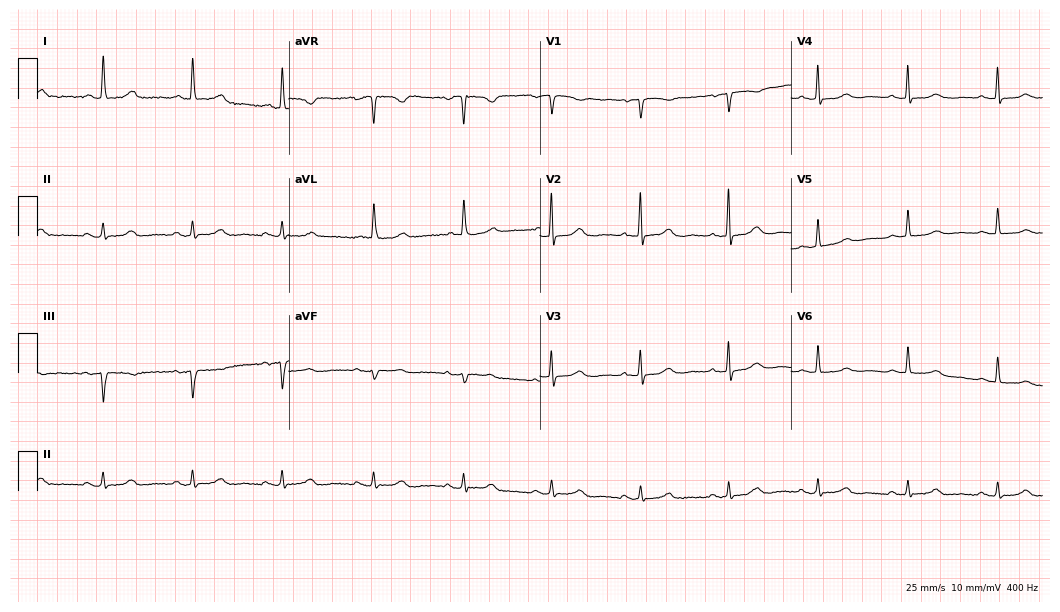
Standard 12-lead ECG recorded from a 77-year-old female patient. None of these six findings is recorded: first-degree AV block, right bundle branch block, left bundle branch block, sinus bradycardia, atrial fibrillation, sinus tachycardia. Findings outside these six are not listed.